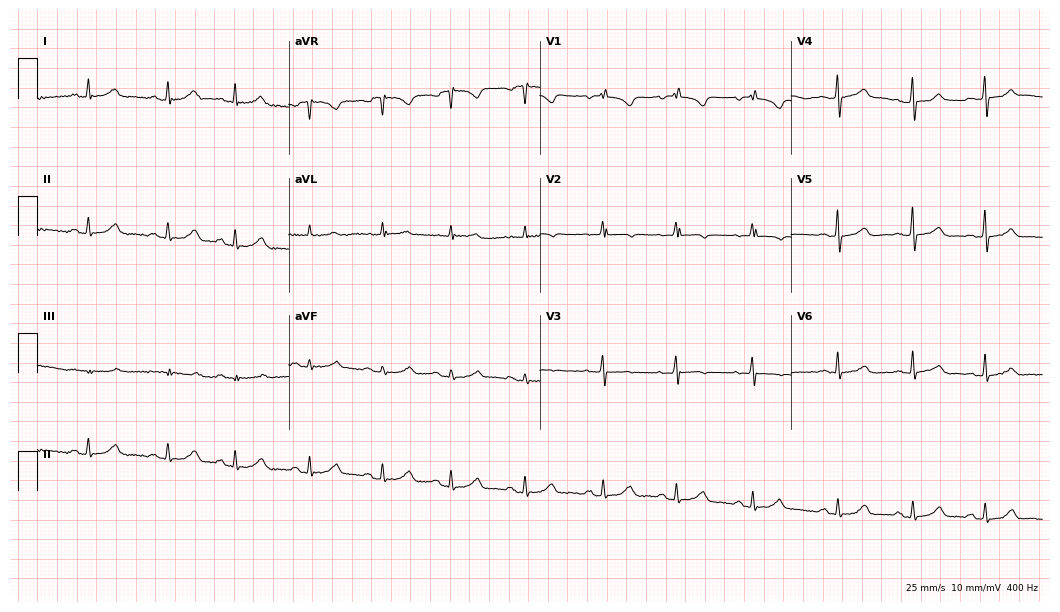
Electrocardiogram, an 81-year-old female. Of the six screened findings (first-degree AV block, right bundle branch block, left bundle branch block, sinus bradycardia, atrial fibrillation, sinus tachycardia), none is recorded. Only these six findings were labelled.